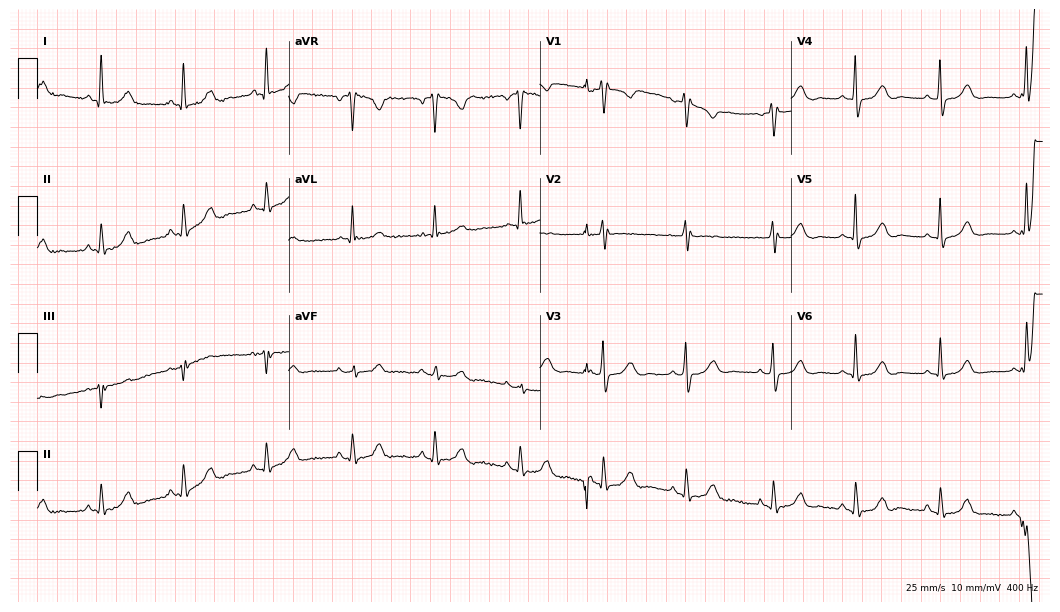
Standard 12-lead ECG recorded from a 54-year-old female. None of these six findings is recorded: first-degree AV block, right bundle branch block (RBBB), left bundle branch block (LBBB), sinus bradycardia, atrial fibrillation (AF), sinus tachycardia. Only these six findings were labelled.